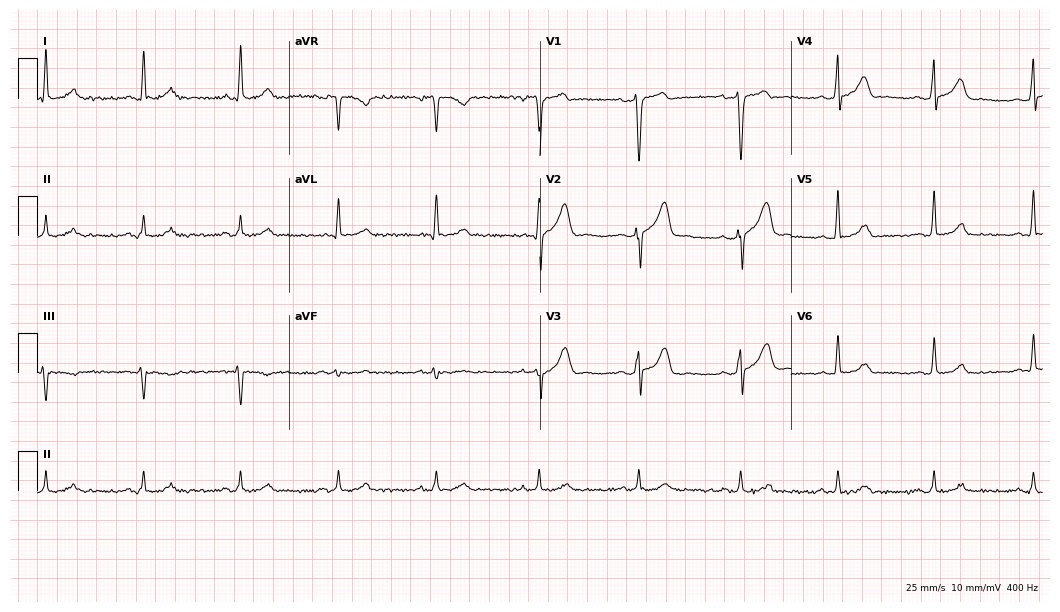
12-lead ECG (10.2-second recording at 400 Hz) from a 42-year-old male. Labelled as a normal ECG.